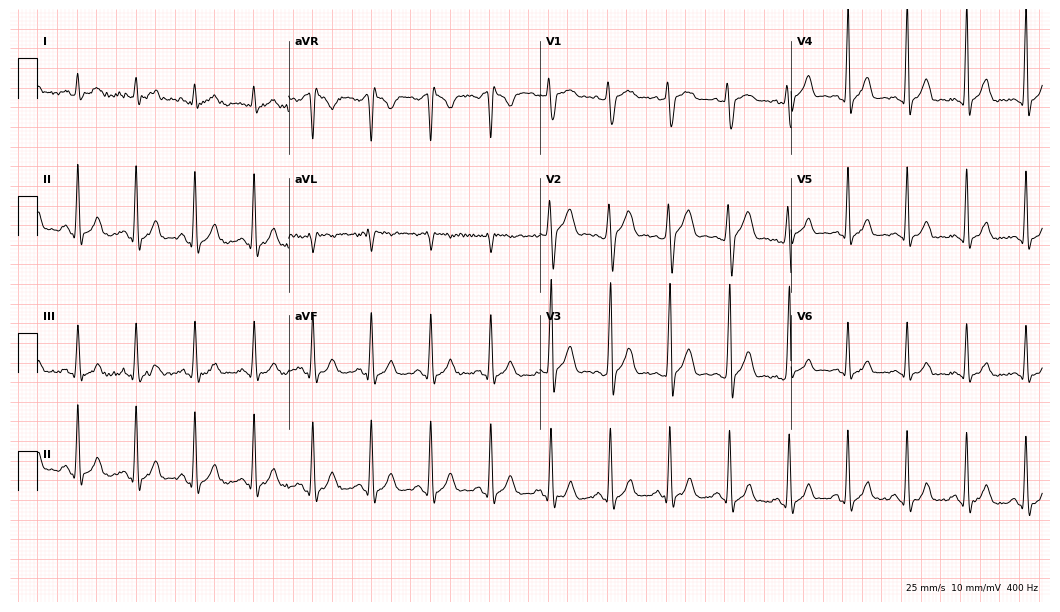
12-lead ECG from a man, 26 years old (10.2-second recording at 400 Hz). No first-degree AV block, right bundle branch block (RBBB), left bundle branch block (LBBB), sinus bradycardia, atrial fibrillation (AF) or sinus tachycardia recorded for this tracing.